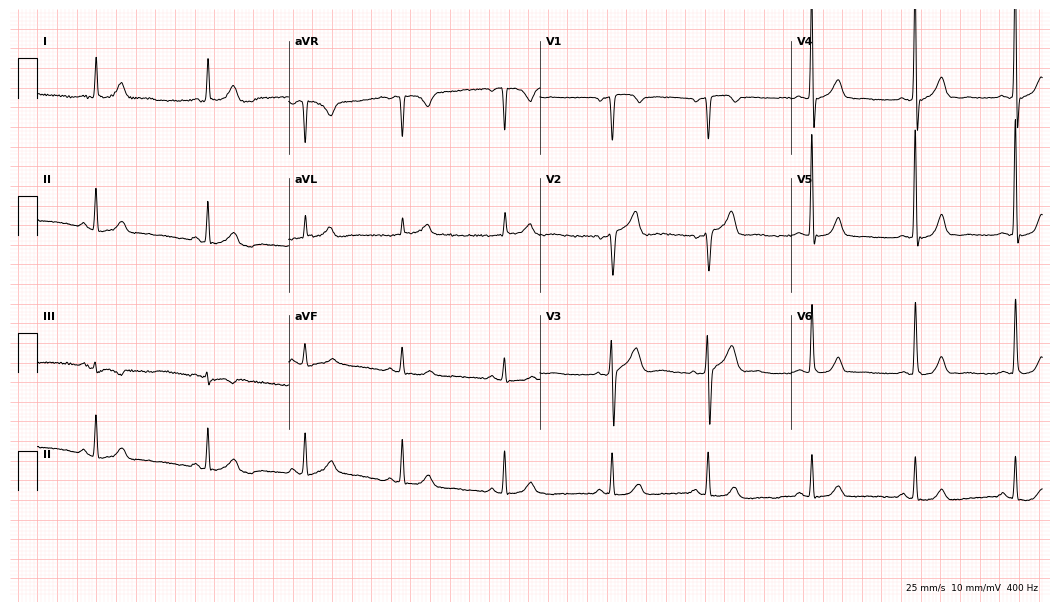
Standard 12-lead ECG recorded from a man, 67 years old (10.2-second recording at 400 Hz). None of these six findings is recorded: first-degree AV block, right bundle branch block, left bundle branch block, sinus bradycardia, atrial fibrillation, sinus tachycardia. Findings outside these six are not listed.